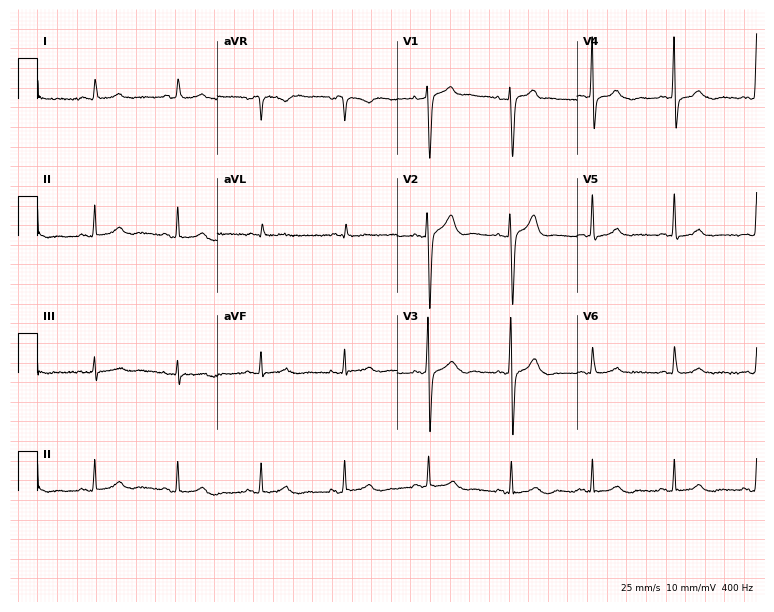
12-lead ECG from a man, 46 years old. Recorded interpretation: within normal limits.